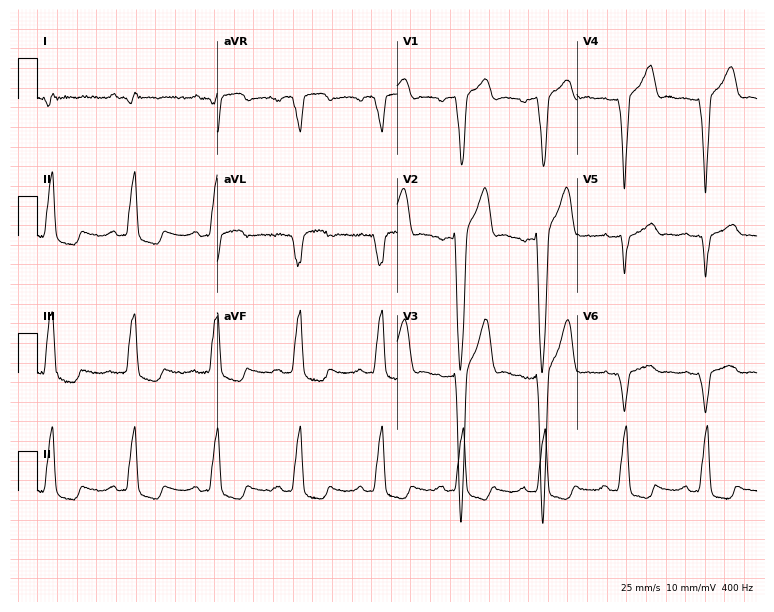
12-lead ECG from a man, 75 years old. Findings include left bundle branch block.